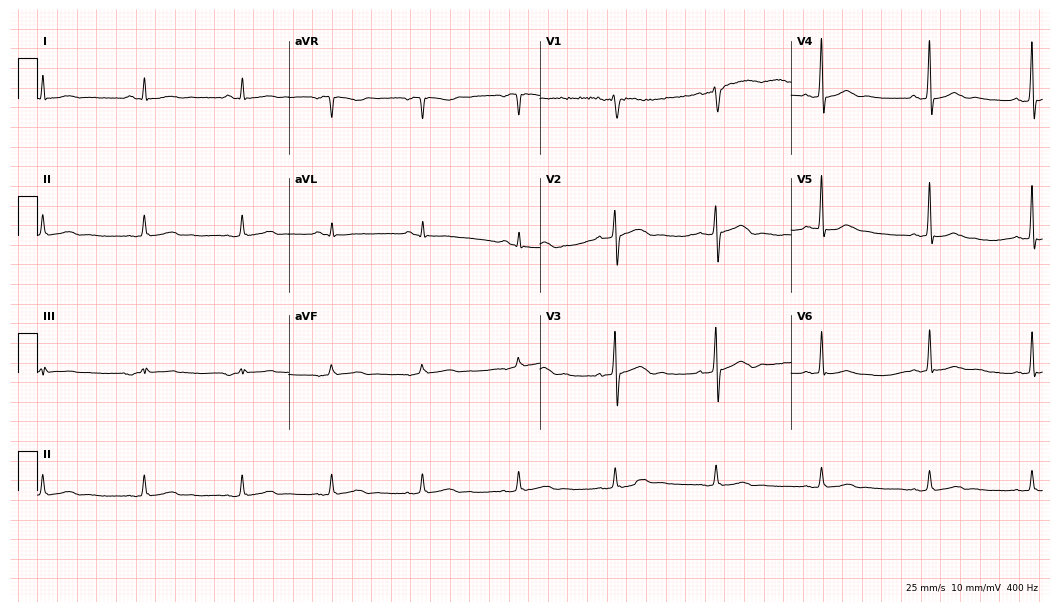
12-lead ECG from a 58-year-old male patient. Screened for six findings — first-degree AV block, right bundle branch block, left bundle branch block, sinus bradycardia, atrial fibrillation, sinus tachycardia — none is recorded. Other findings, if any, are not listed.